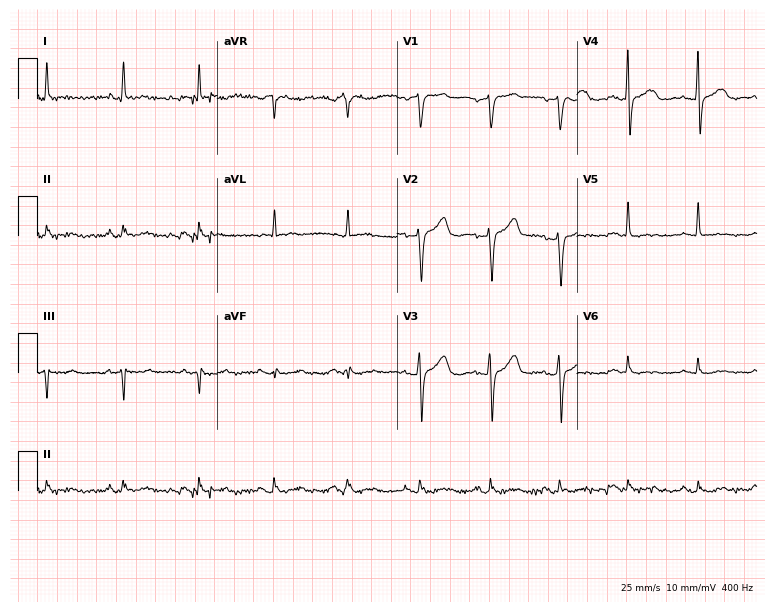
Electrocardiogram, a male patient, 78 years old. Of the six screened findings (first-degree AV block, right bundle branch block, left bundle branch block, sinus bradycardia, atrial fibrillation, sinus tachycardia), none is recorded. Other findings, if any, are not listed.